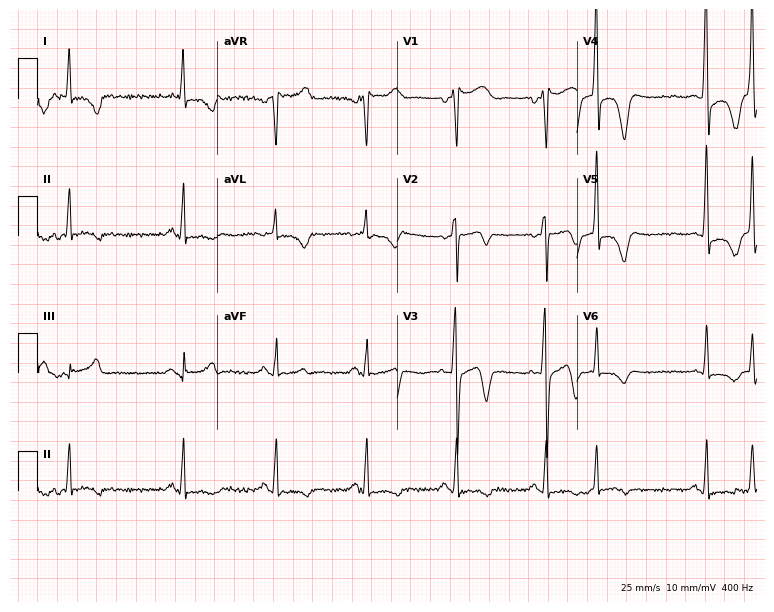
Electrocardiogram, a 65-year-old man. Of the six screened findings (first-degree AV block, right bundle branch block, left bundle branch block, sinus bradycardia, atrial fibrillation, sinus tachycardia), none is recorded.